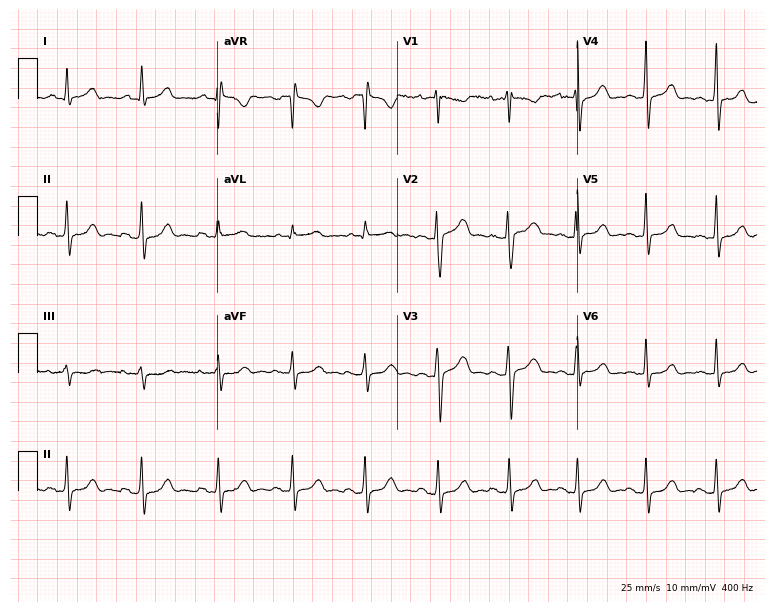
ECG (7.3-second recording at 400 Hz) — a 34-year-old woman. Labelled as a normal ECG.